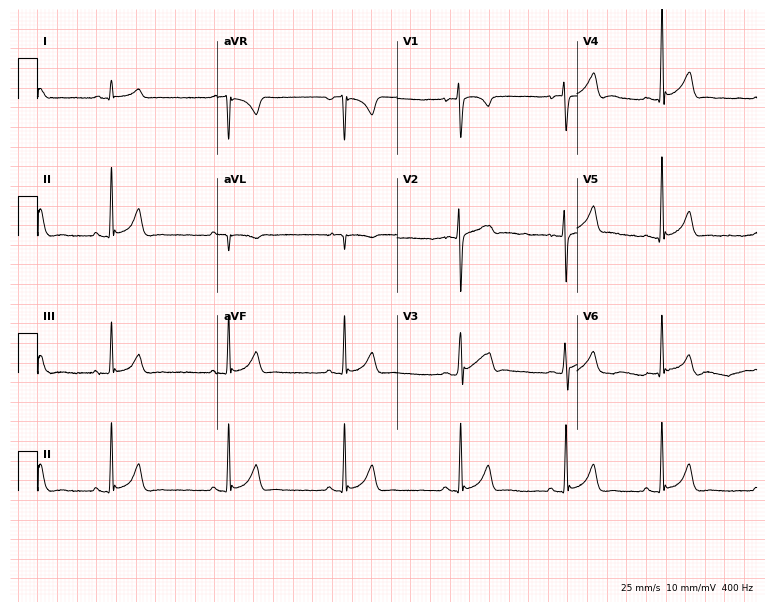
Resting 12-lead electrocardiogram (7.3-second recording at 400 Hz). Patient: a male, 17 years old. Read as a normal ECG.